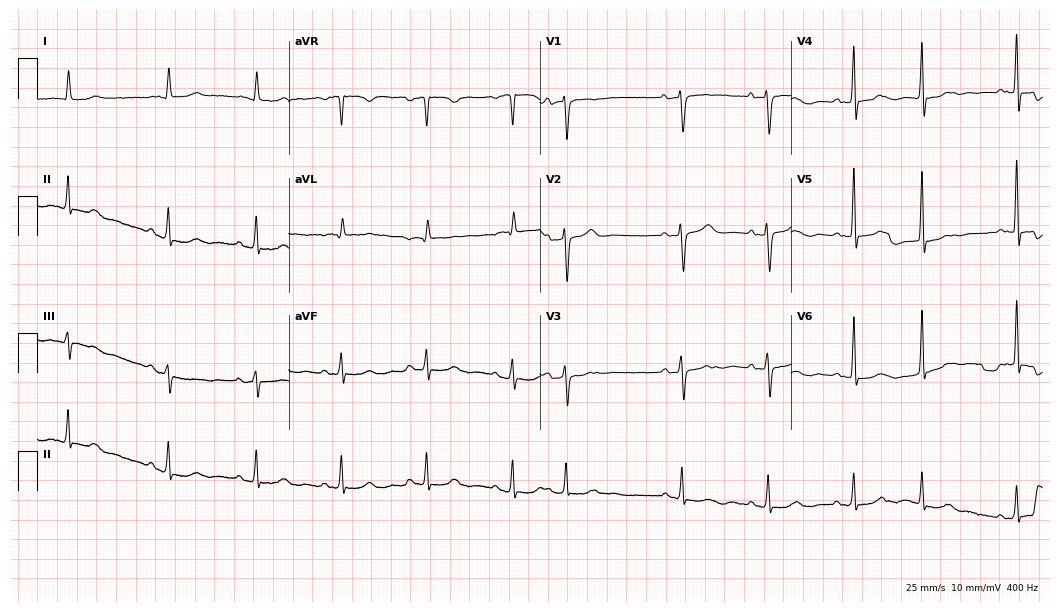
12-lead ECG from a female patient, 76 years old. Screened for six findings — first-degree AV block, right bundle branch block, left bundle branch block, sinus bradycardia, atrial fibrillation, sinus tachycardia — none is recorded.